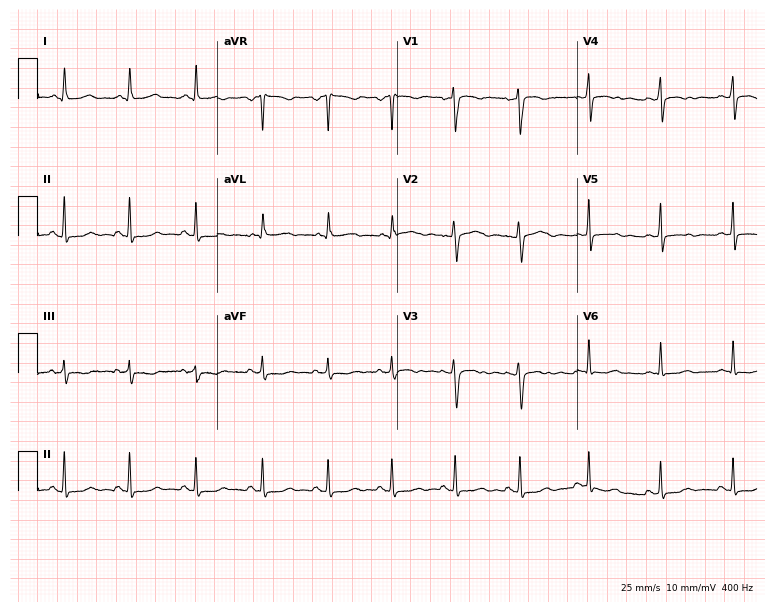
12-lead ECG from a female, 38 years old. No first-degree AV block, right bundle branch block, left bundle branch block, sinus bradycardia, atrial fibrillation or sinus tachycardia recorded for this tracing.